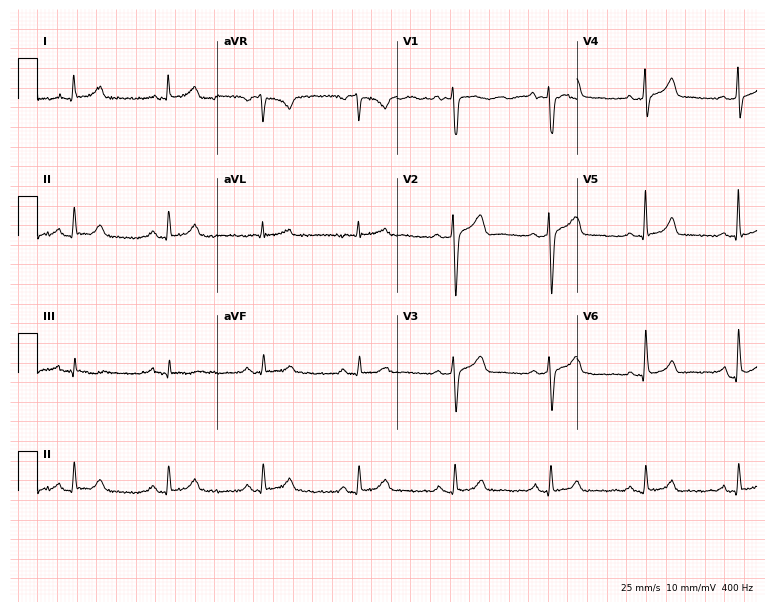
ECG — a 40-year-old male patient. Screened for six findings — first-degree AV block, right bundle branch block, left bundle branch block, sinus bradycardia, atrial fibrillation, sinus tachycardia — none is recorded. Other findings, if any, are not listed.